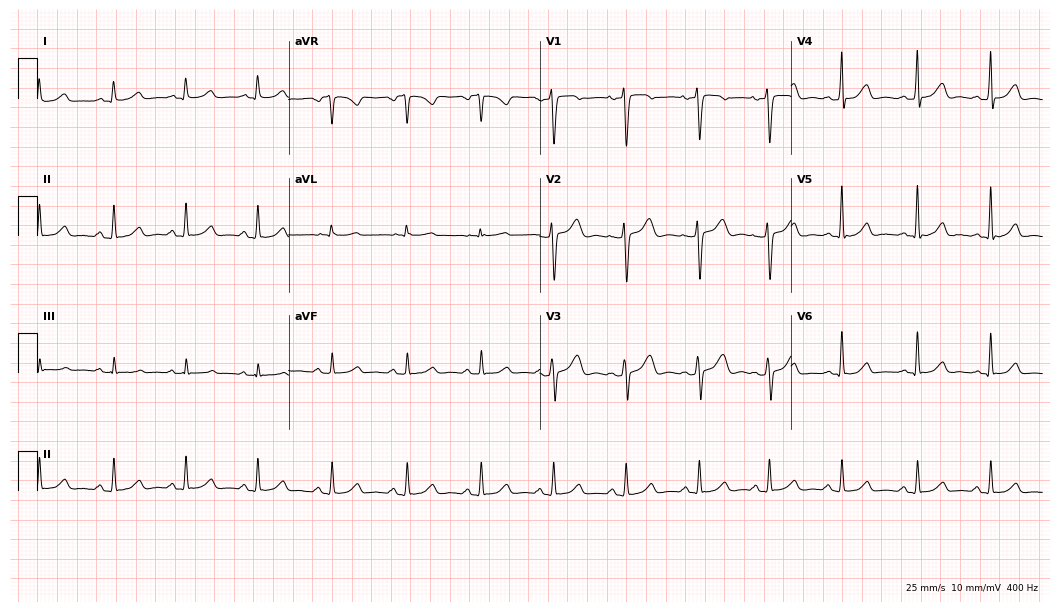
12-lead ECG from a 31-year-old female patient. Recorded interpretation: within normal limits.